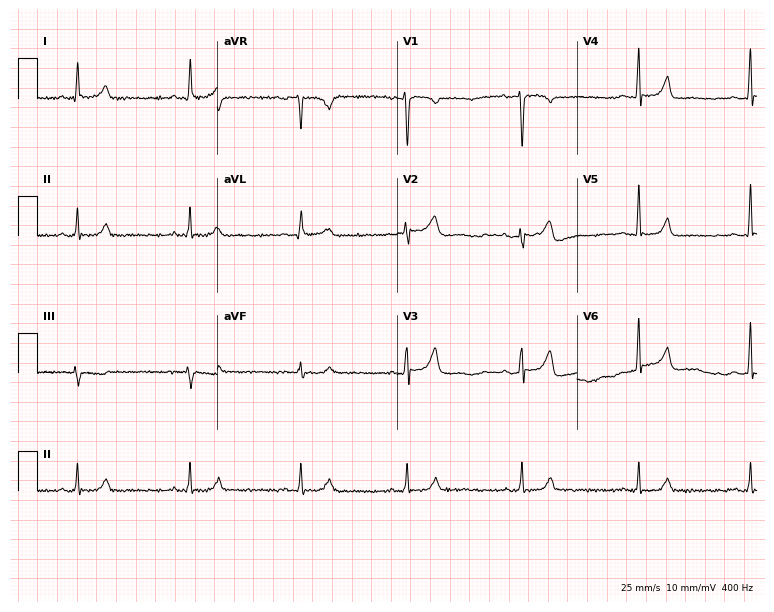
12-lead ECG (7.3-second recording at 400 Hz) from a 50-year-old woman. Screened for six findings — first-degree AV block, right bundle branch block, left bundle branch block, sinus bradycardia, atrial fibrillation, sinus tachycardia — none is recorded.